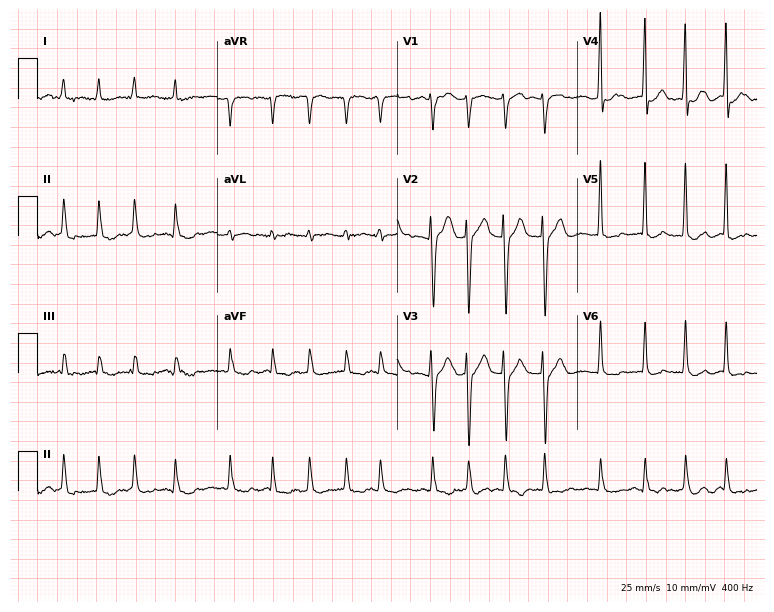
12-lead ECG from a male patient, 80 years old. Shows atrial fibrillation (AF).